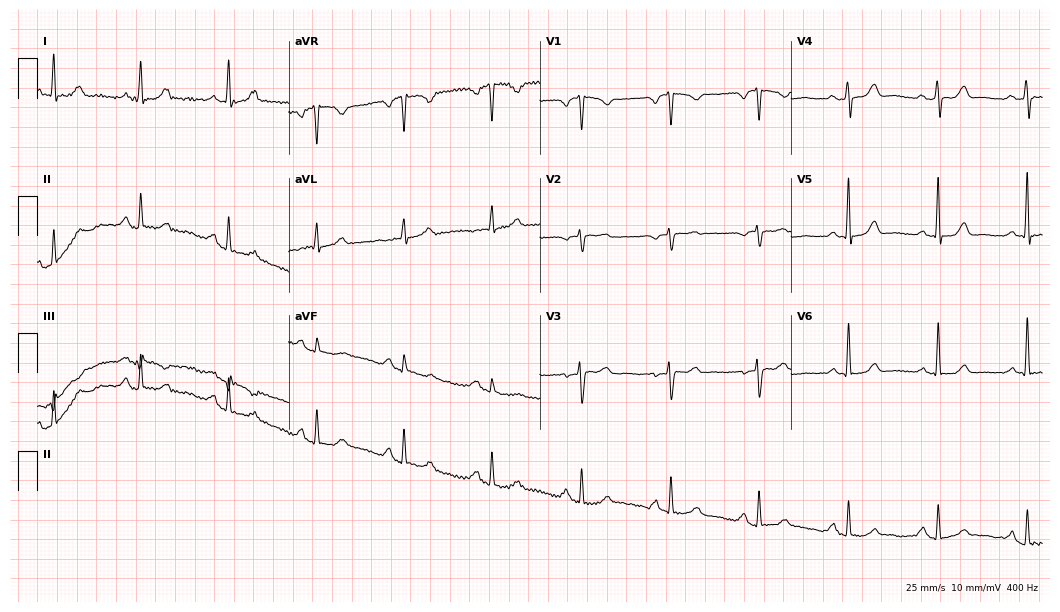
ECG — a female patient, 61 years old. Screened for six findings — first-degree AV block, right bundle branch block, left bundle branch block, sinus bradycardia, atrial fibrillation, sinus tachycardia — none is recorded.